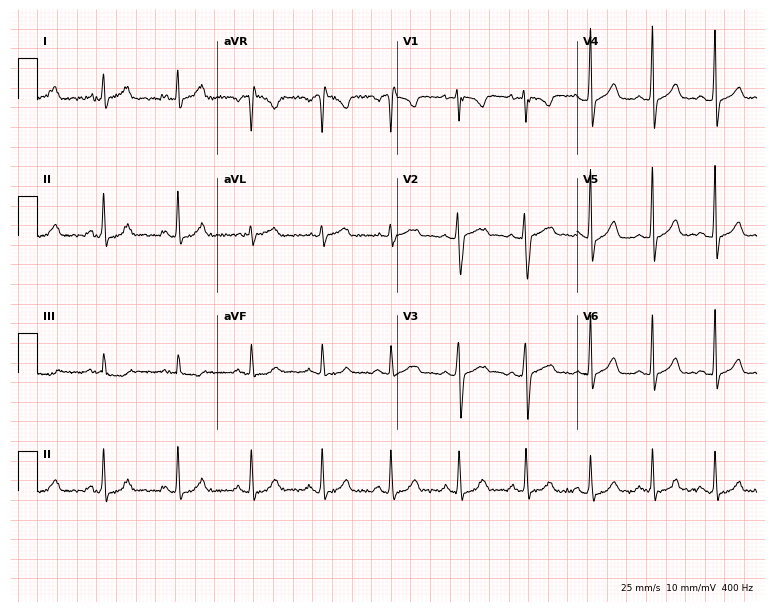
12-lead ECG from a 25-year-old female. Recorded interpretation: within normal limits.